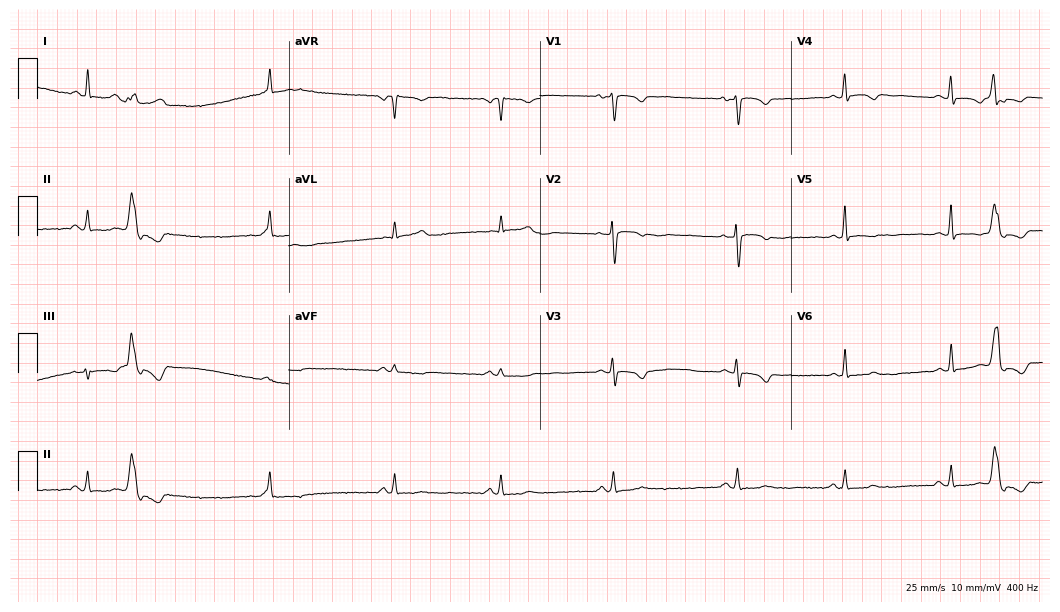
Standard 12-lead ECG recorded from a female patient, 54 years old. None of these six findings is recorded: first-degree AV block, right bundle branch block (RBBB), left bundle branch block (LBBB), sinus bradycardia, atrial fibrillation (AF), sinus tachycardia. Other findings, if any, are not listed.